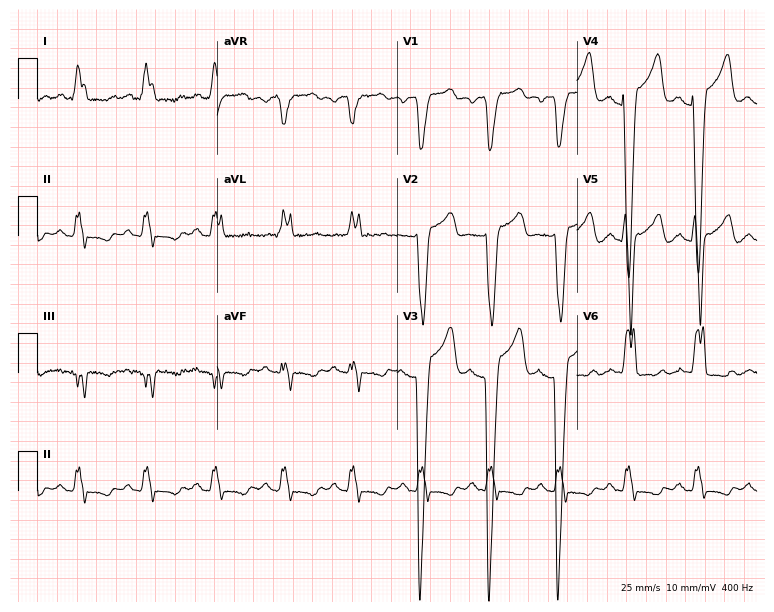
ECG — a 58-year-old female. Findings include left bundle branch block.